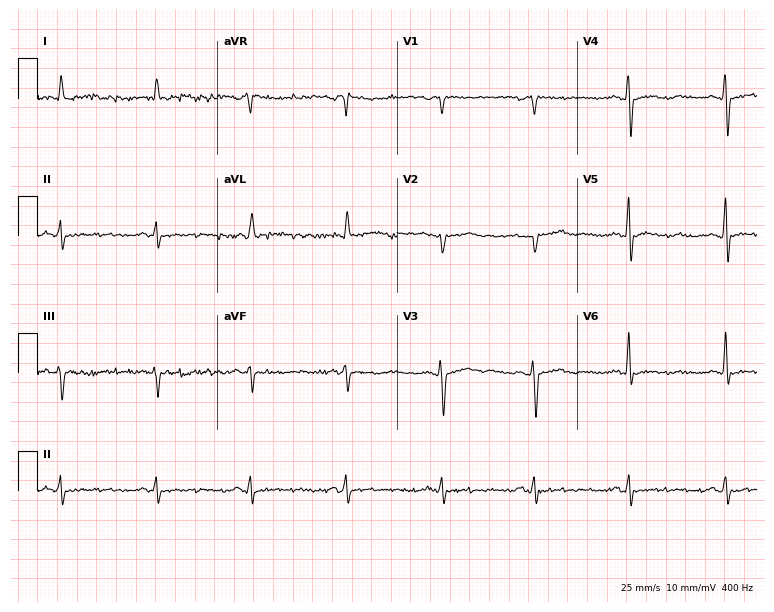
12-lead ECG from a 64-year-old male. Screened for six findings — first-degree AV block, right bundle branch block, left bundle branch block, sinus bradycardia, atrial fibrillation, sinus tachycardia — none is recorded. Only these six findings were labelled.